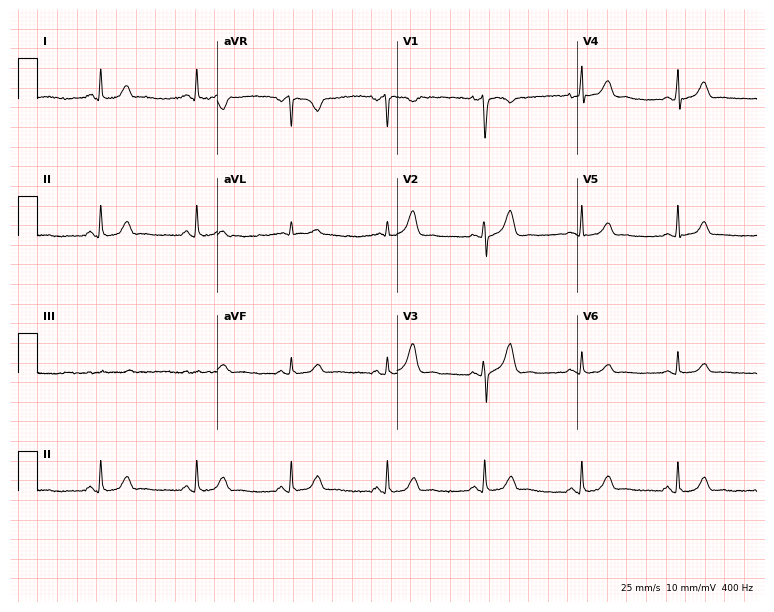
12-lead ECG (7.3-second recording at 400 Hz) from a 29-year-old female patient. Labelled as a normal ECG.